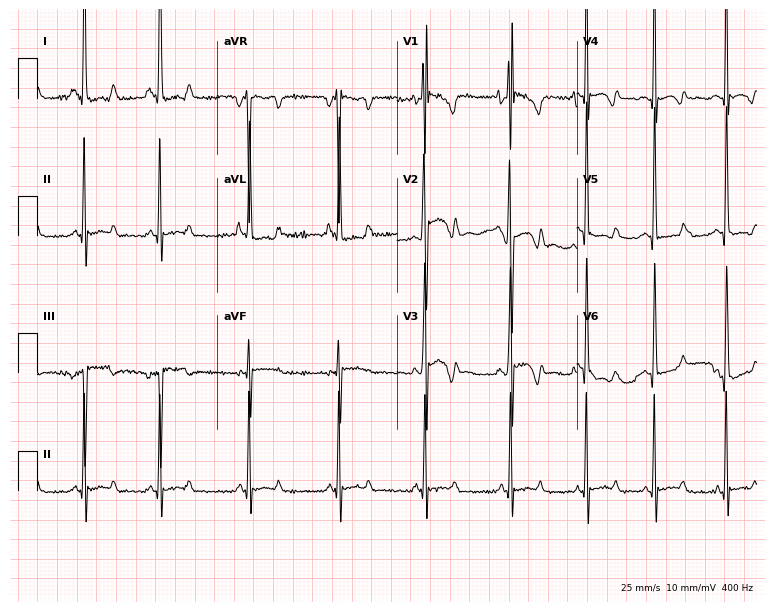
12-lead ECG from a 20-year-old woman (7.3-second recording at 400 Hz). No first-degree AV block, right bundle branch block, left bundle branch block, sinus bradycardia, atrial fibrillation or sinus tachycardia recorded for this tracing. Only these six findings were labelled.